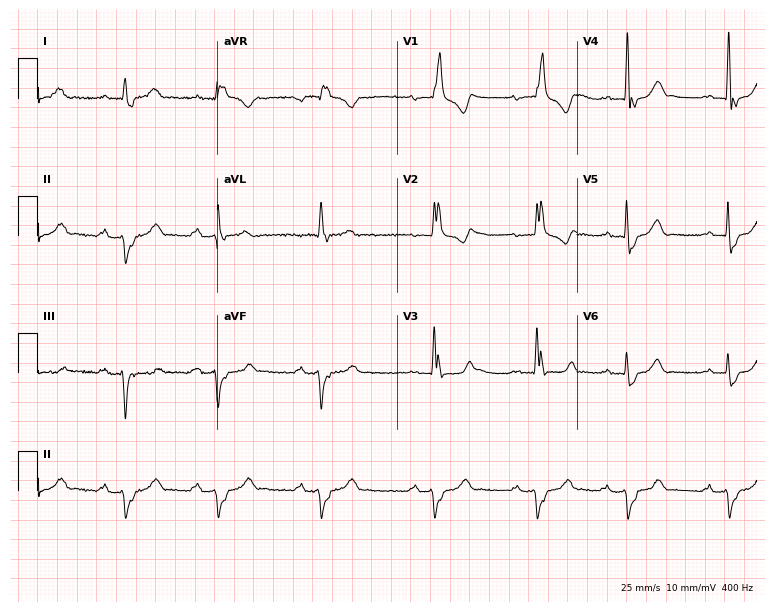
ECG — a man, 75 years old. Findings include first-degree AV block, right bundle branch block (RBBB).